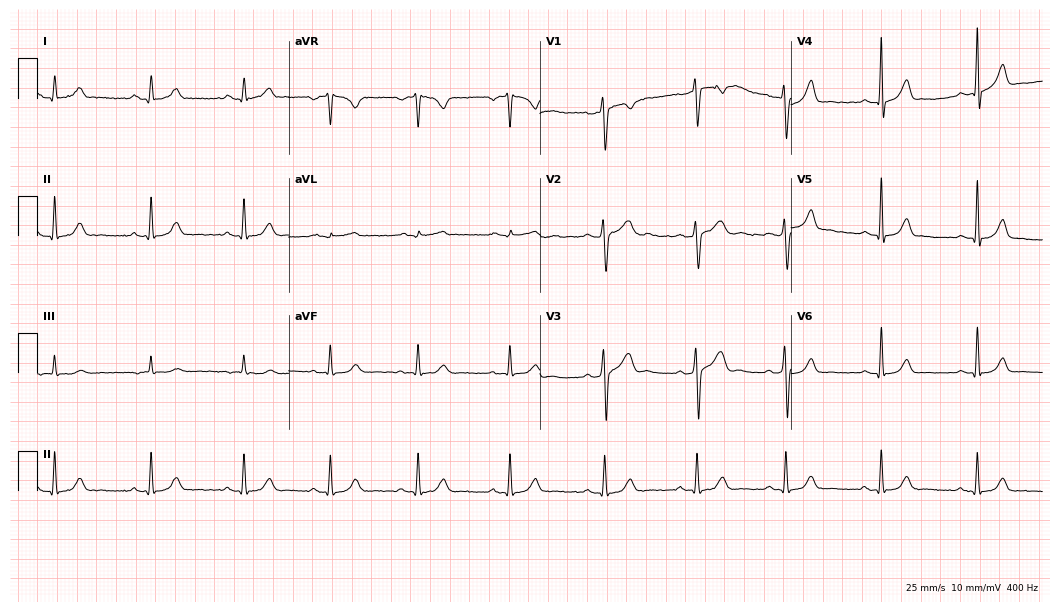
Electrocardiogram (10.2-second recording at 400 Hz), a man, 21 years old. Overall reading on record: normal ECG.